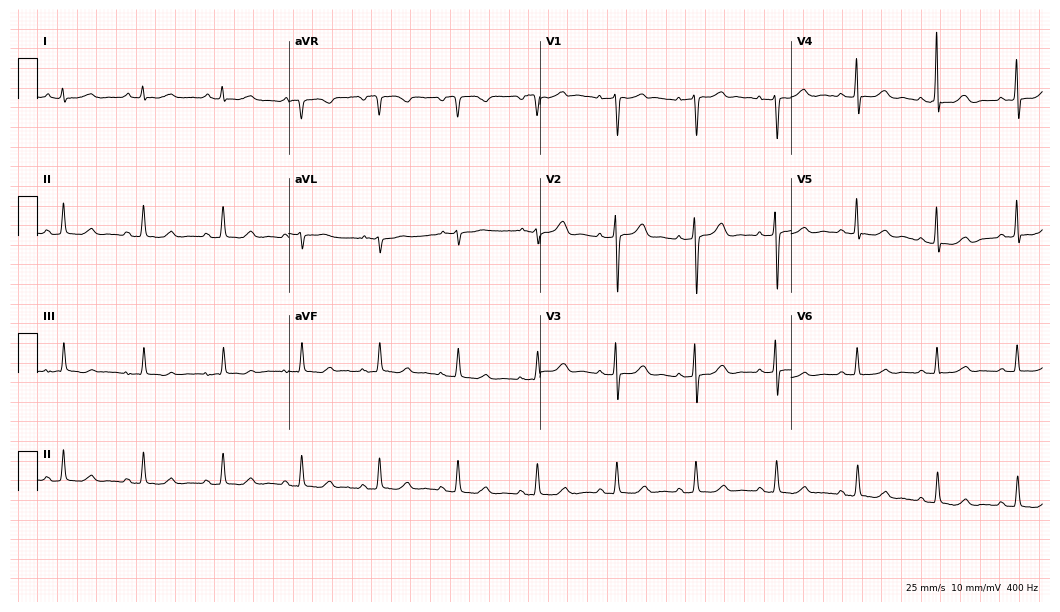
Electrocardiogram (10.2-second recording at 400 Hz), a 60-year-old female patient. Of the six screened findings (first-degree AV block, right bundle branch block, left bundle branch block, sinus bradycardia, atrial fibrillation, sinus tachycardia), none is recorded.